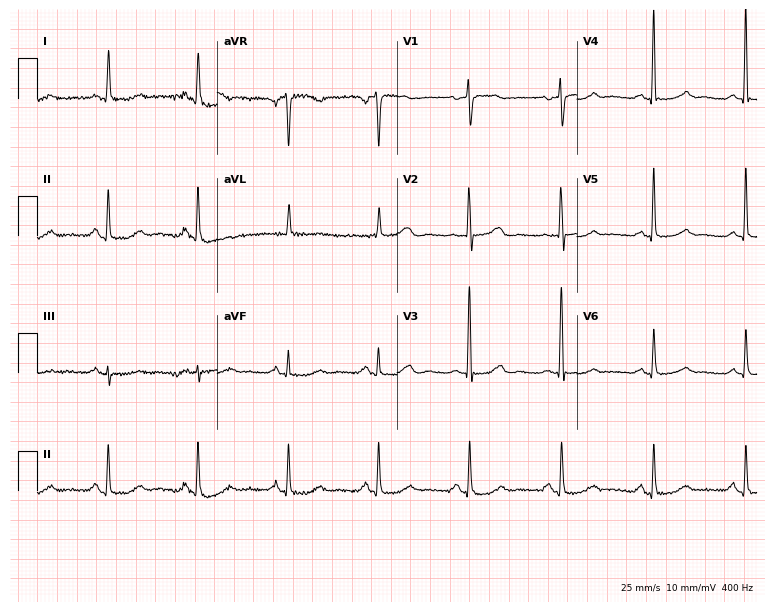
Electrocardiogram (7.3-second recording at 400 Hz), a 72-year-old female. Of the six screened findings (first-degree AV block, right bundle branch block (RBBB), left bundle branch block (LBBB), sinus bradycardia, atrial fibrillation (AF), sinus tachycardia), none is recorded.